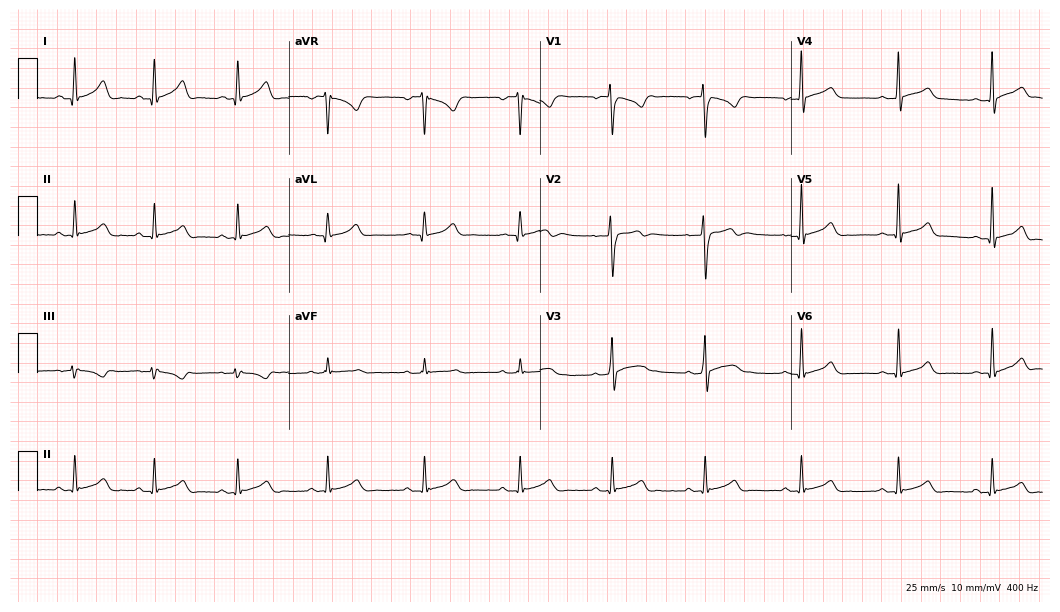
ECG — a male patient, 22 years old. Labelled as a normal ECG.